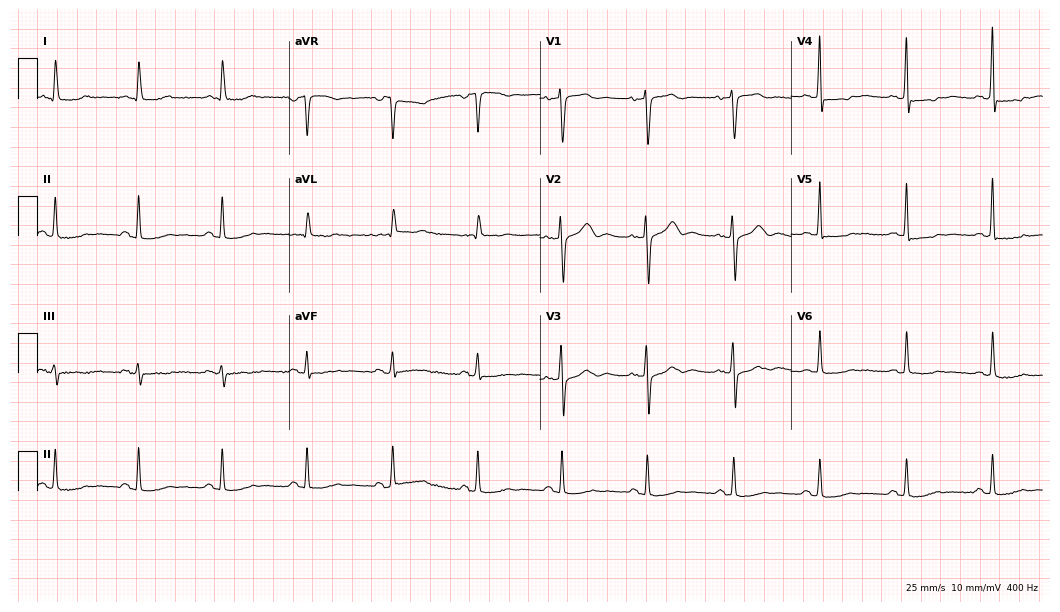
12-lead ECG from a female patient, 84 years old (10.2-second recording at 400 Hz). No first-degree AV block, right bundle branch block, left bundle branch block, sinus bradycardia, atrial fibrillation or sinus tachycardia recorded for this tracing. Other findings, if any, are not listed.